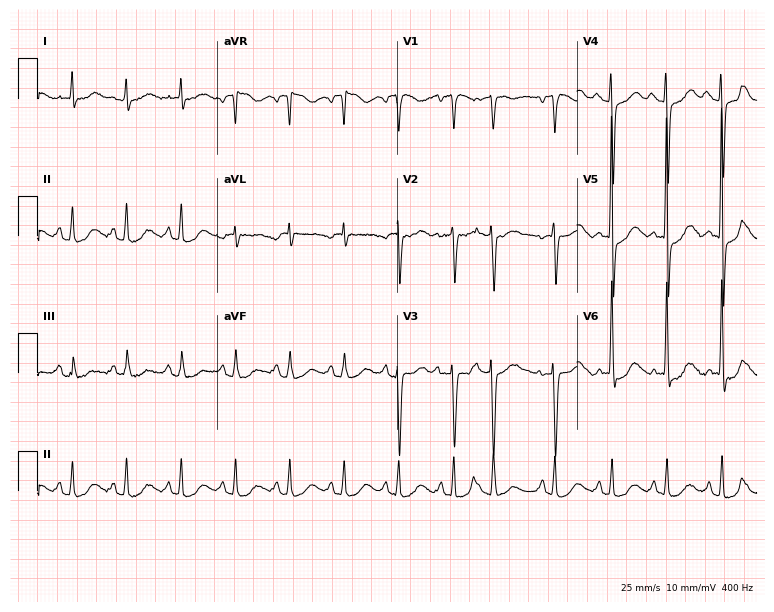
Resting 12-lead electrocardiogram. Patient: a 77-year-old woman. The tracing shows sinus tachycardia (a sinus rate of 100 beats per minute or more).